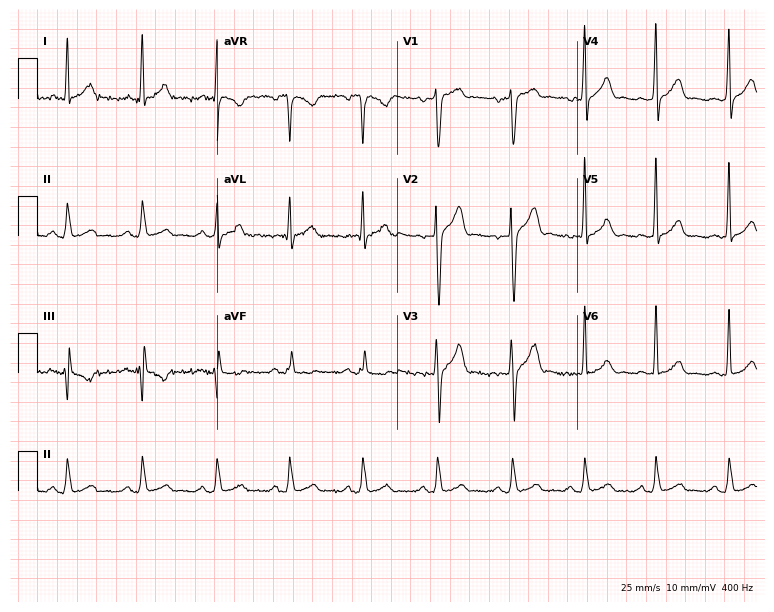
Electrocardiogram, a male, 36 years old. Overall reading on record: normal ECG.